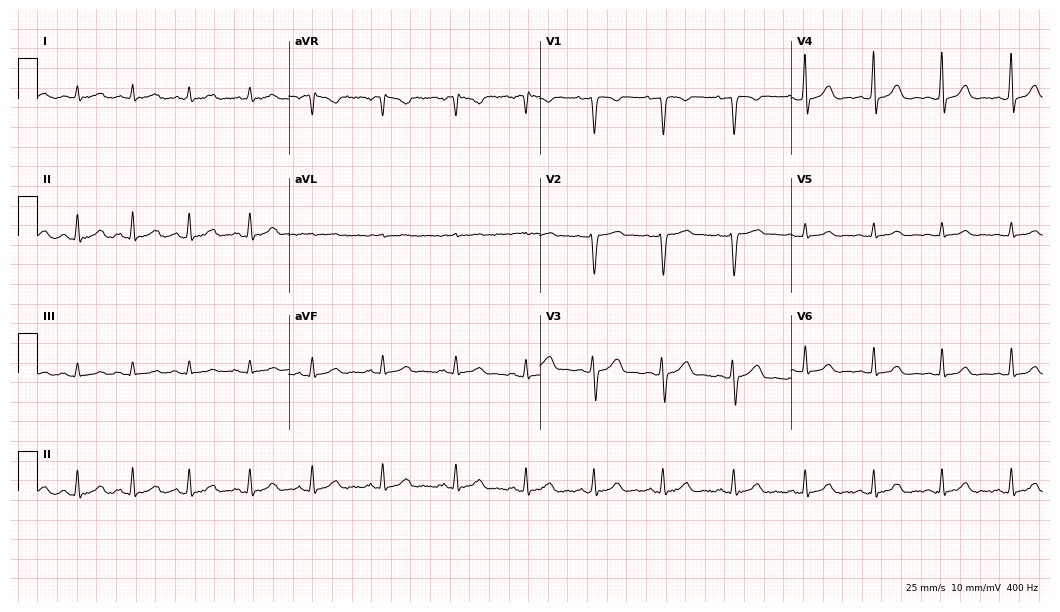
Resting 12-lead electrocardiogram (10.2-second recording at 400 Hz). Patient: a 37-year-old female. Read as a normal ECG.